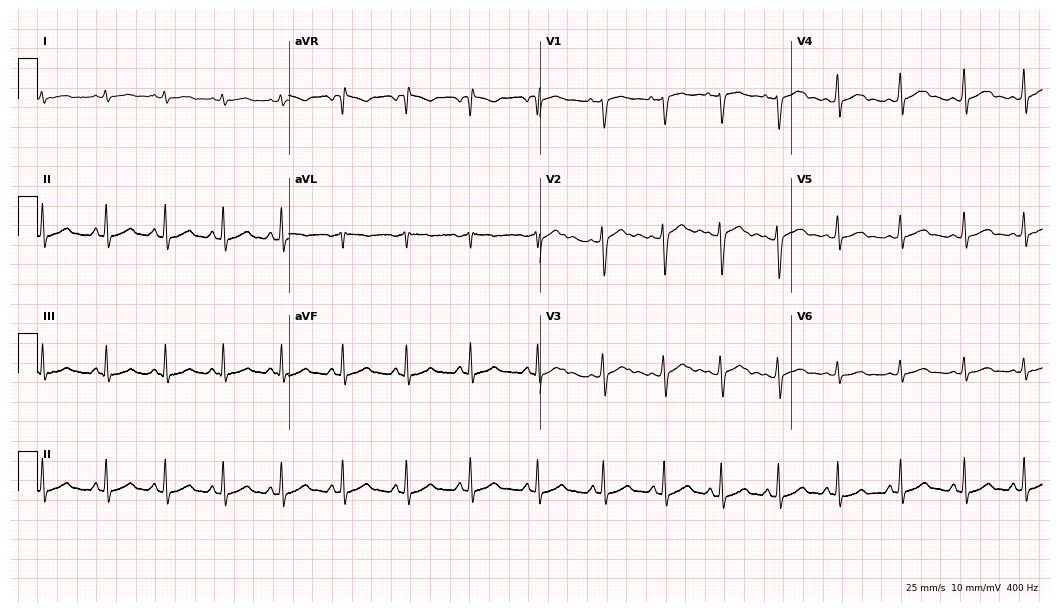
12-lead ECG from a woman, 18 years old. Recorded interpretation: within normal limits.